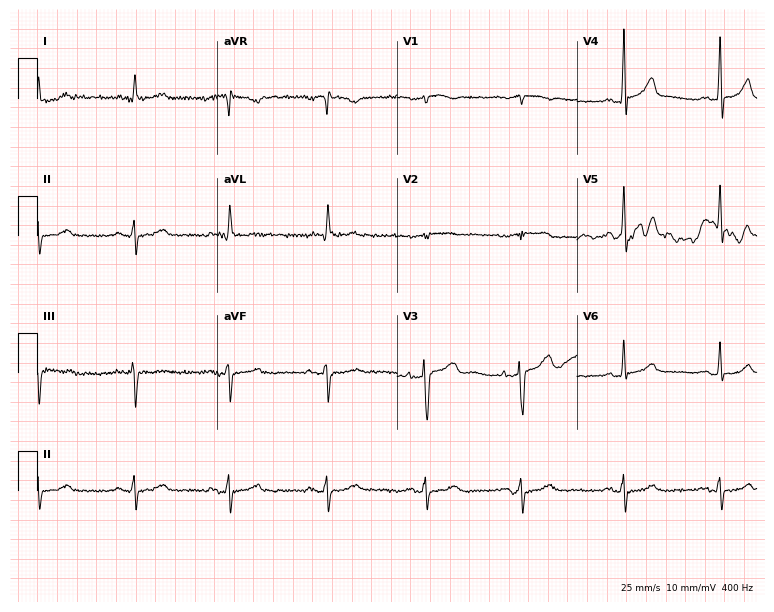
ECG — a female, 81 years old. Screened for six findings — first-degree AV block, right bundle branch block, left bundle branch block, sinus bradycardia, atrial fibrillation, sinus tachycardia — none is recorded.